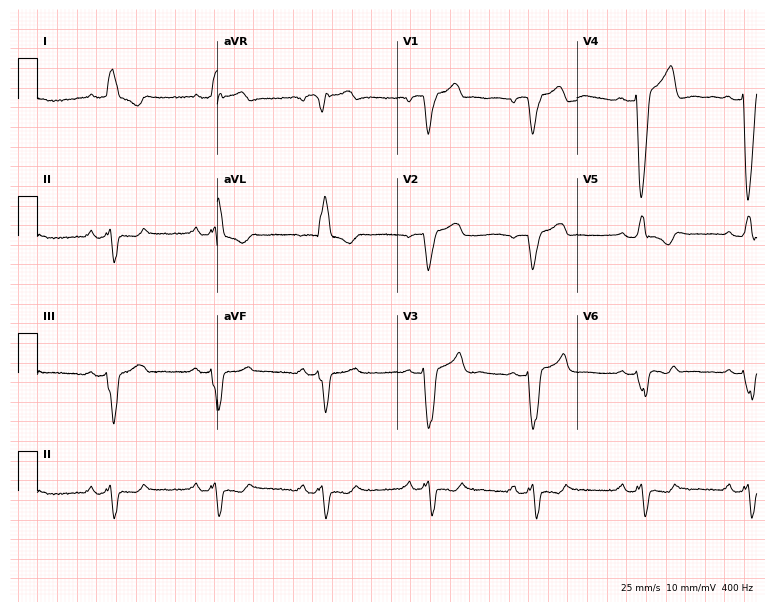
Electrocardiogram (7.3-second recording at 400 Hz), a male, 55 years old. Interpretation includes left bundle branch block (LBBB).